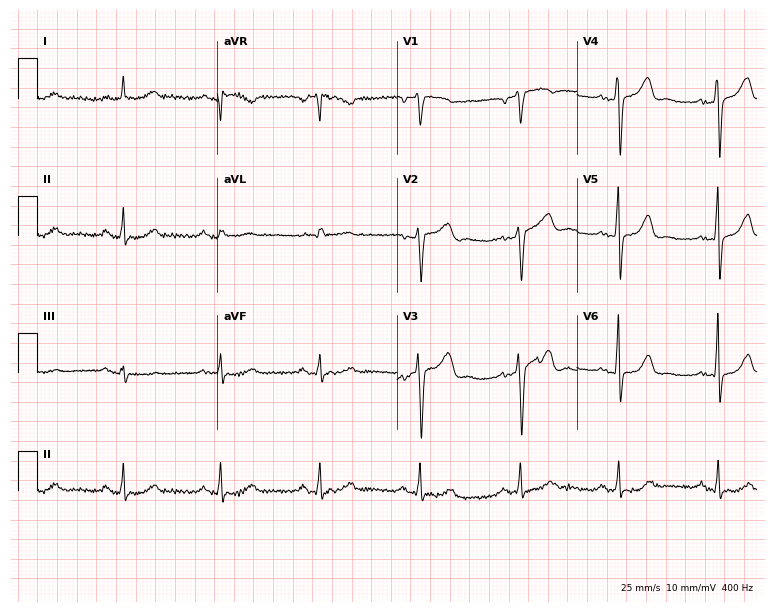
12-lead ECG from a 50-year-old male. Labelled as a normal ECG.